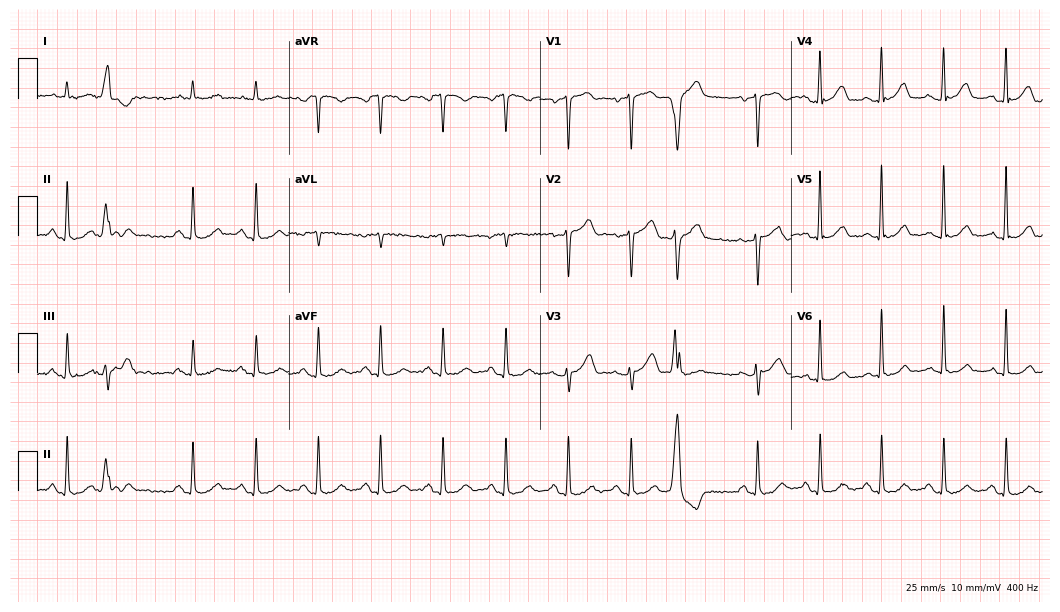
Electrocardiogram (10.2-second recording at 400 Hz), a male patient, 78 years old. Of the six screened findings (first-degree AV block, right bundle branch block, left bundle branch block, sinus bradycardia, atrial fibrillation, sinus tachycardia), none is recorded. Findings outside these six are not listed.